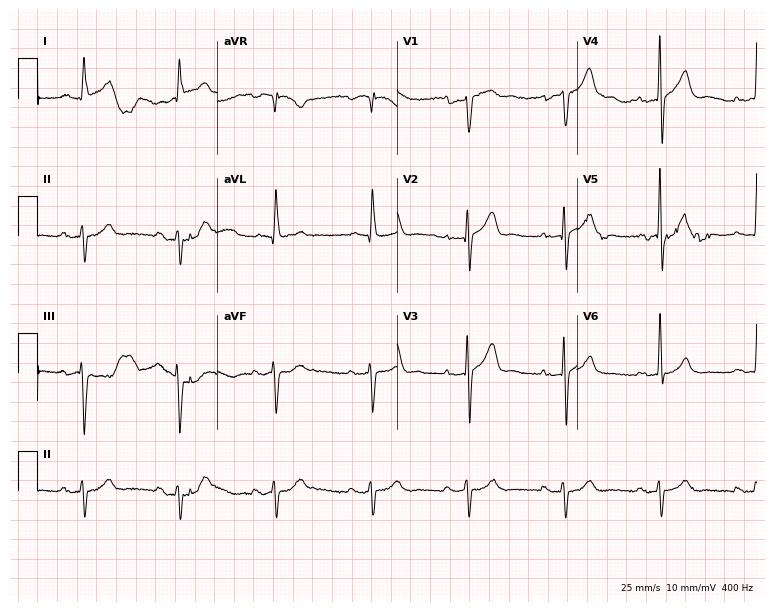
Electrocardiogram (7.3-second recording at 400 Hz), a 69-year-old male patient. Of the six screened findings (first-degree AV block, right bundle branch block (RBBB), left bundle branch block (LBBB), sinus bradycardia, atrial fibrillation (AF), sinus tachycardia), none is recorded. Other findings, if any, are not listed.